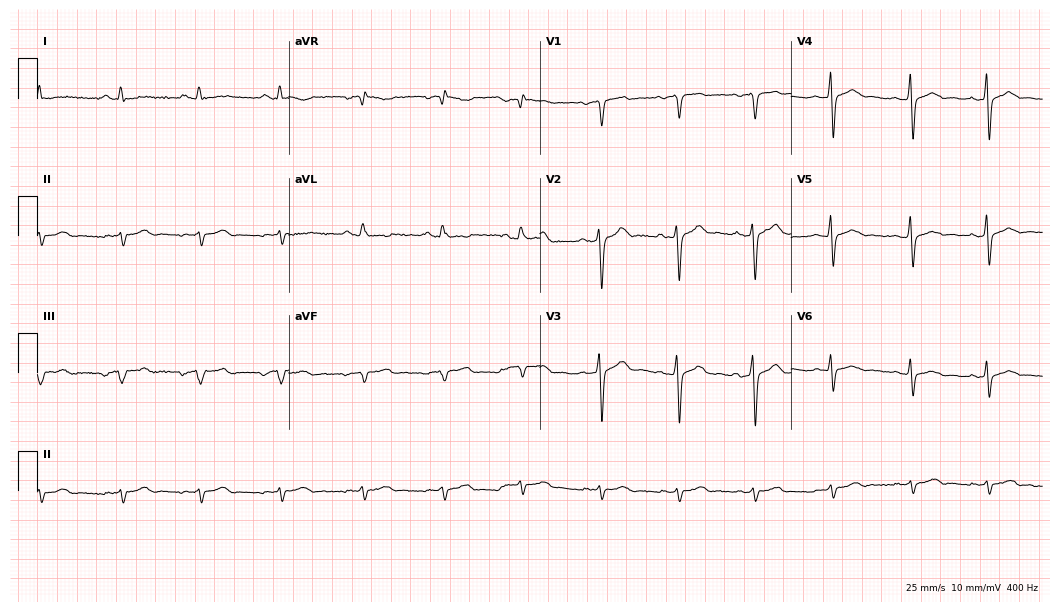
12-lead ECG from a man, 31 years old (10.2-second recording at 400 Hz). No first-degree AV block, right bundle branch block (RBBB), left bundle branch block (LBBB), sinus bradycardia, atrial fibrillation (AF) or sinus tachycardia recorded for this tracing.